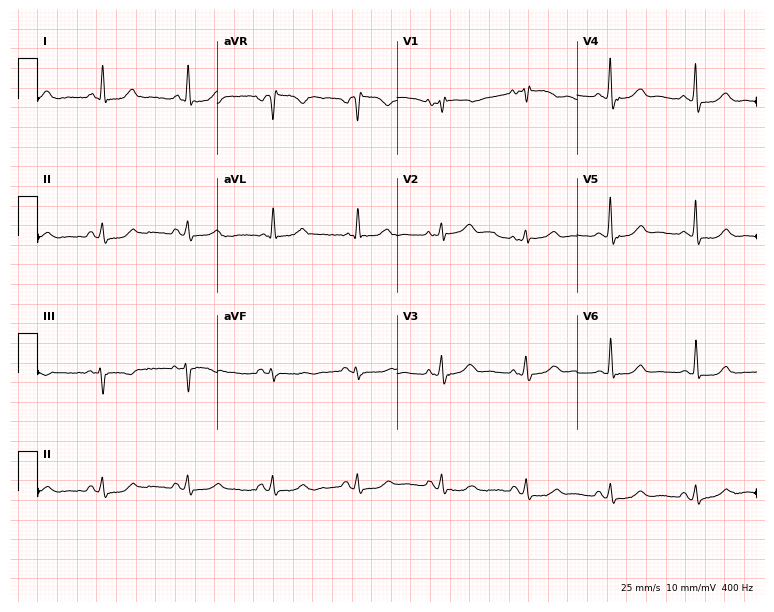
Electrocardiogram, a female patient, 82 years old. Of the six screened findings (first-degree AV block, right bundle branch block (RBBB), left bundle branch block (LBBB), sinus bradycardia, atrial fibrillation (AF), sinus tachycardia), none is recorded. Only these six findings were labelled.